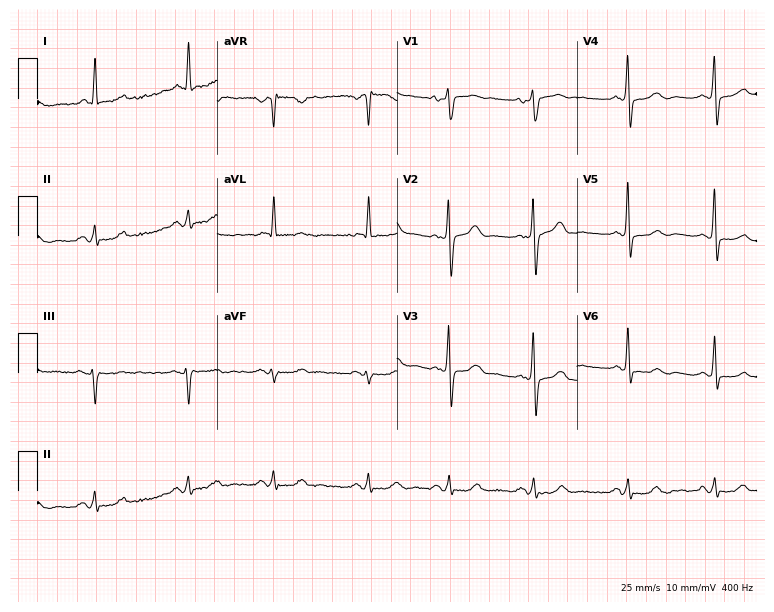
Resting 12-lead electrocardiogram (7.3-second recording at 400 Hz). Patient: a male, 80 years old. None of these six findings is recorded: first-degree AV block, right bundle branch block, left bundle branch block, sinus bradycardia, atrial fibrillation, sinus tachycardia.